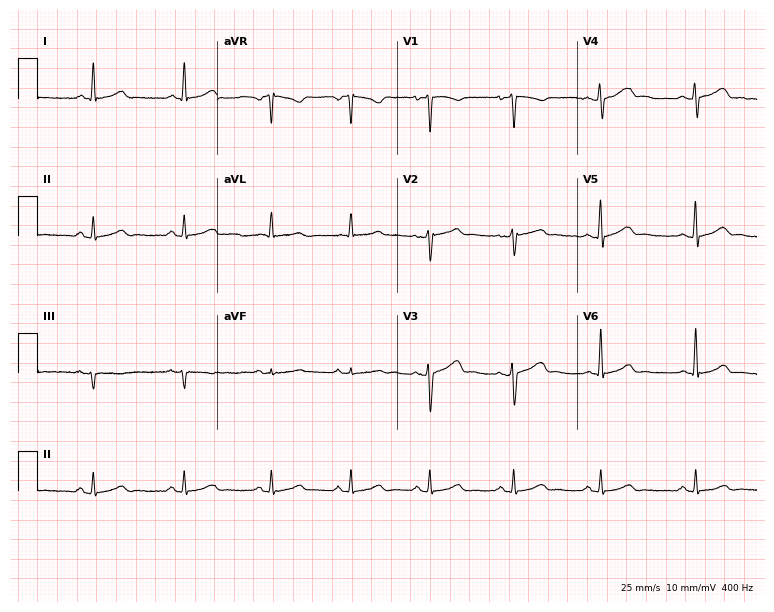
Resting 12-lead electrocardiogram. Patient: a 47-year-old female. Read as a normal ECG.